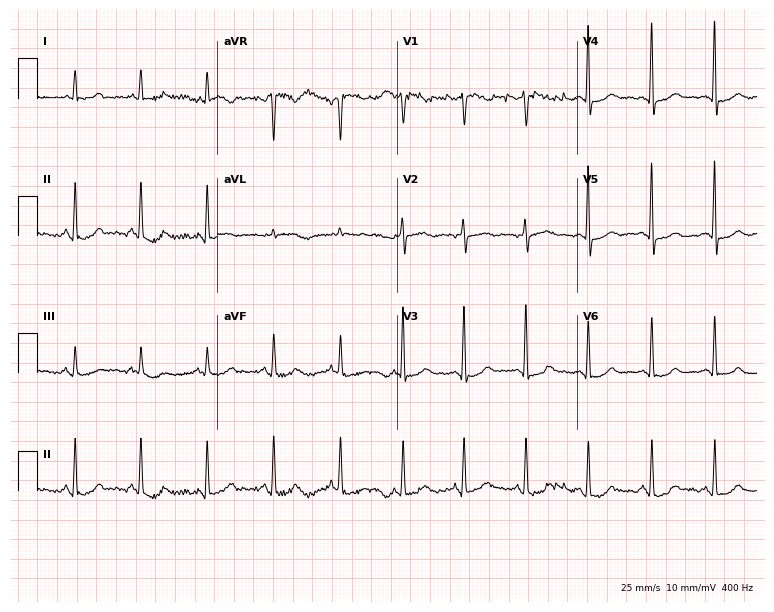
Resting 12-lead electrocardiogram (7.3-second recording at 400 Hz). Patient: a 62-year-old female. None of these six findings is recorded: first-degree AV block, right bundle branch block, left bundle branch block, sinus bradycardia, atrial fibrillation, sinus tachycardia.